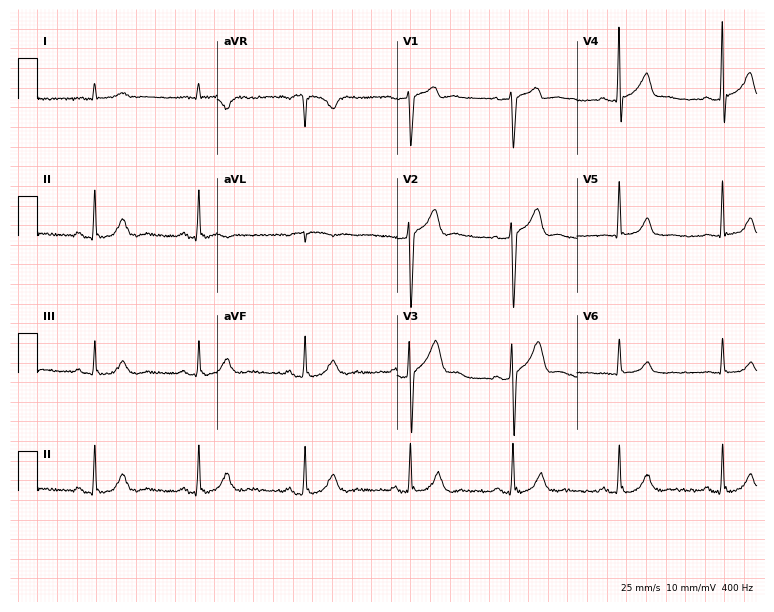
ECG (7.3-second recording at 400 Hz) — a 77-year-old male patient. Screened for six findings — first-degree AV block, right bundle branch block (RBBB), left bundle branch block (LBBB), sinus bradycardia, atrial fibrillation (AF), sinus tachycardia — none is recorded.